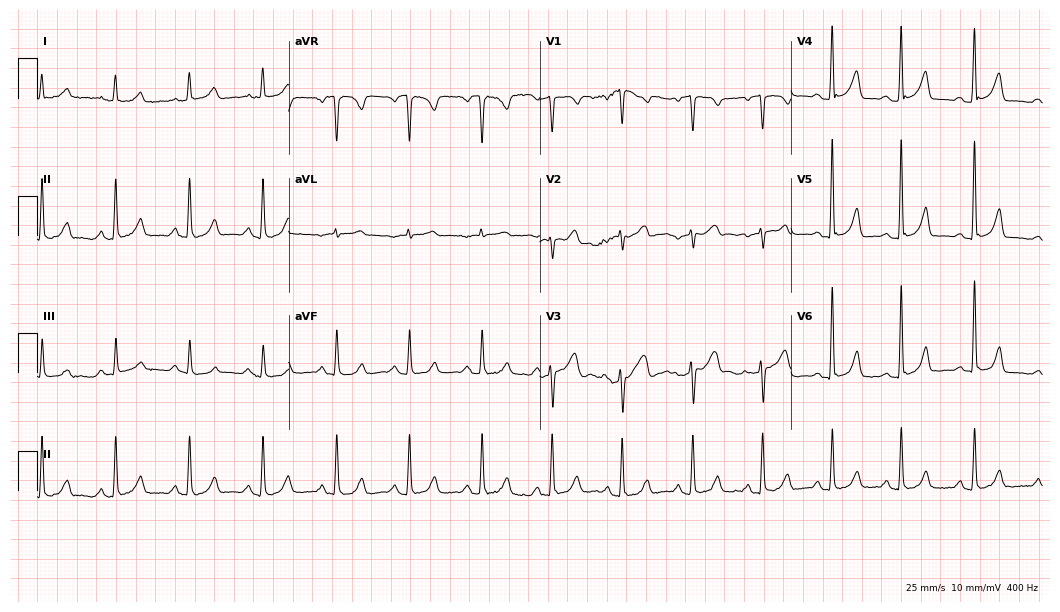
ECG (10.2-second recording at 400 Hz) — a woman, 48 years old. Labelled as a normal ECG.